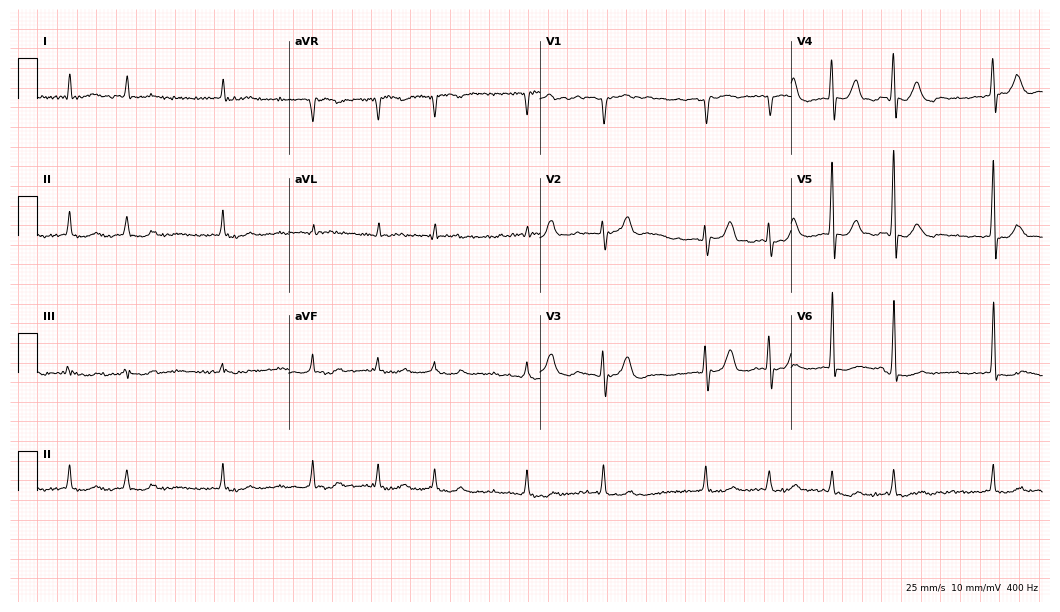
12-lead ECG from a man, 88 years old (10.2-second recording at 400 Hz). Shows atrial fibrillation.